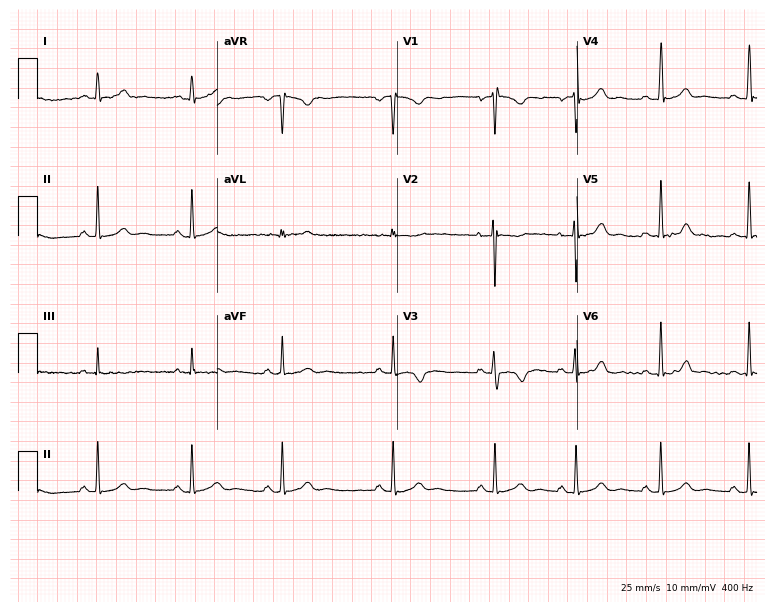
Resting 12-lead electrocardiogram. Patient: a woman, 23 years old. None of these six findings is recorded: first-degree AV block, right bundle branch block, left bundle branch block, sinus bradycardia, atrial fibrillation, sinus tachycardia.